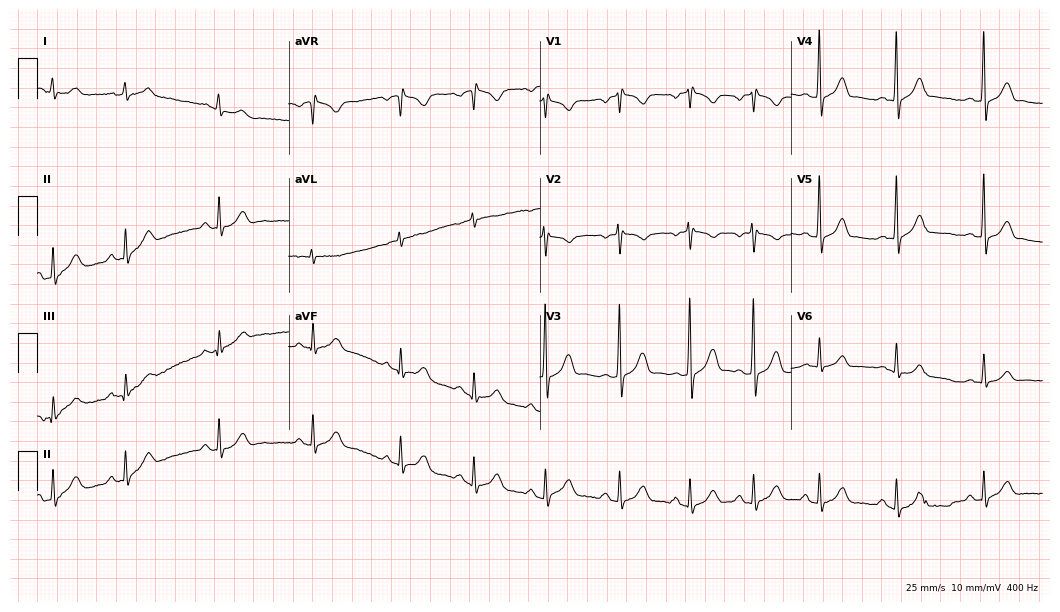
12-lead ECG (10.2-second recording at 400 Hz) from a male, 21 years old. Labelled as a normal ECG.